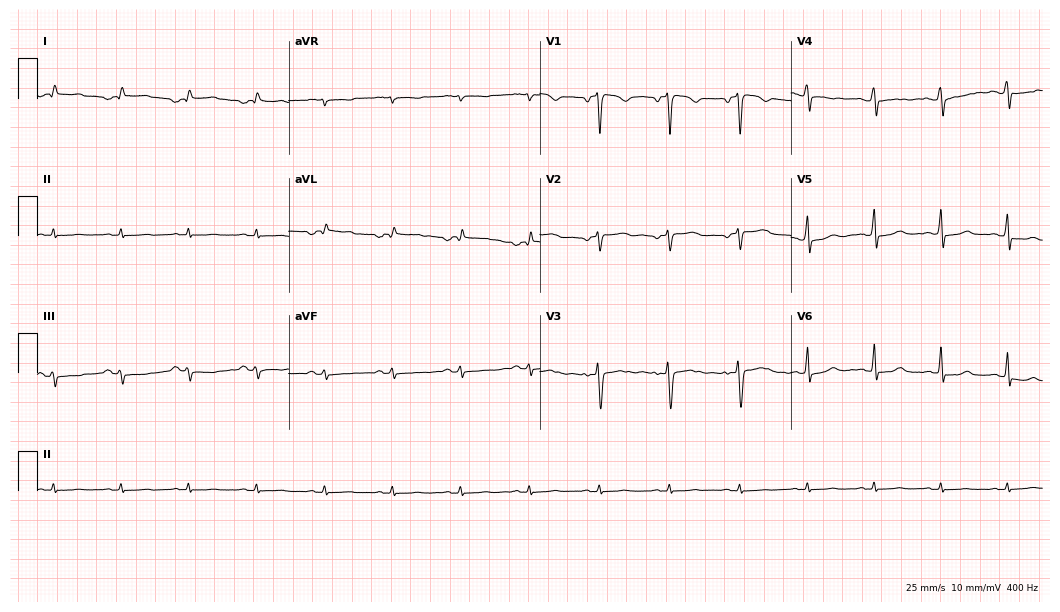
Standard 12-lead ECG recorded from a female, 44 years old (10.2-second recording at 400 Hz). None of these six findings is recorded: first-degree AV block, right bundle branch block, left bundle branch block, sinus bradycardia, atrial fibrillation, sinus tachycardia.